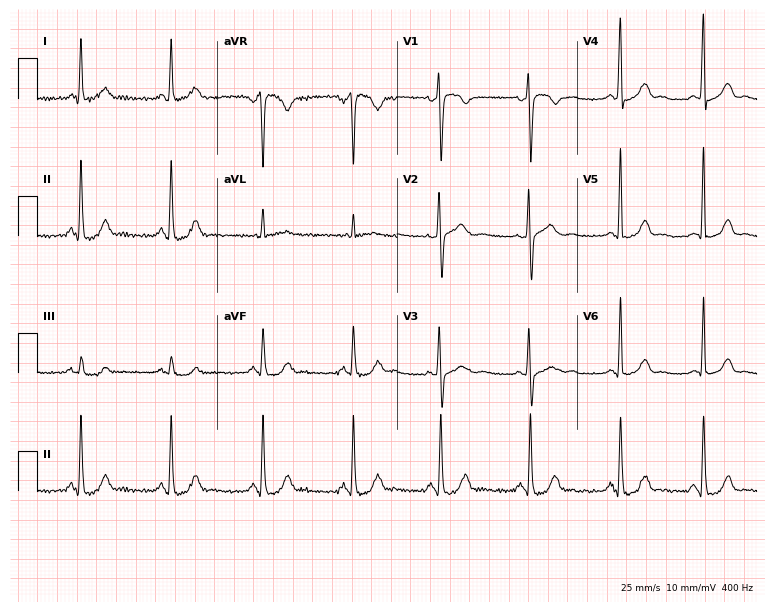
Resting 12-lead electrocardiogram (7.3-second recording at 400 Hz). Patient: a woman, 49 years old. Read as a normal ECG.